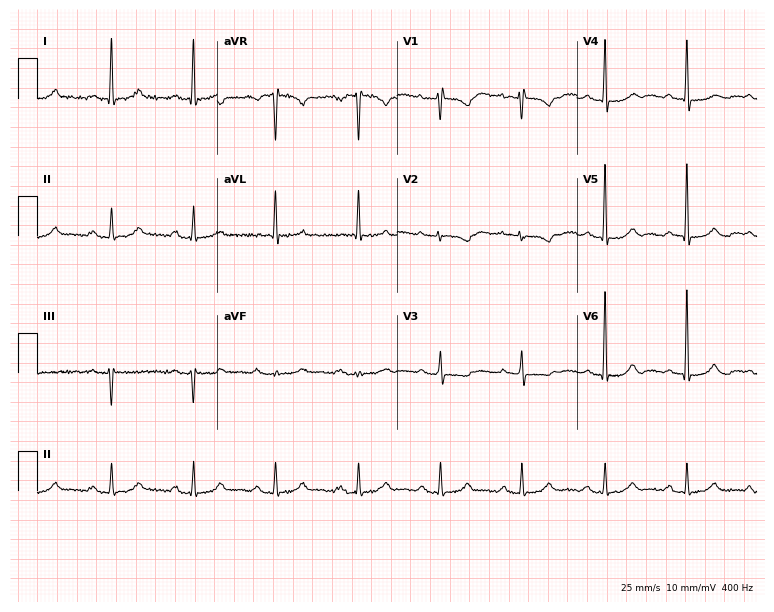
12-lead ECG from a woman, 72 years old (7.3-second recording at 400 Hz). Shows first-degree AV block.